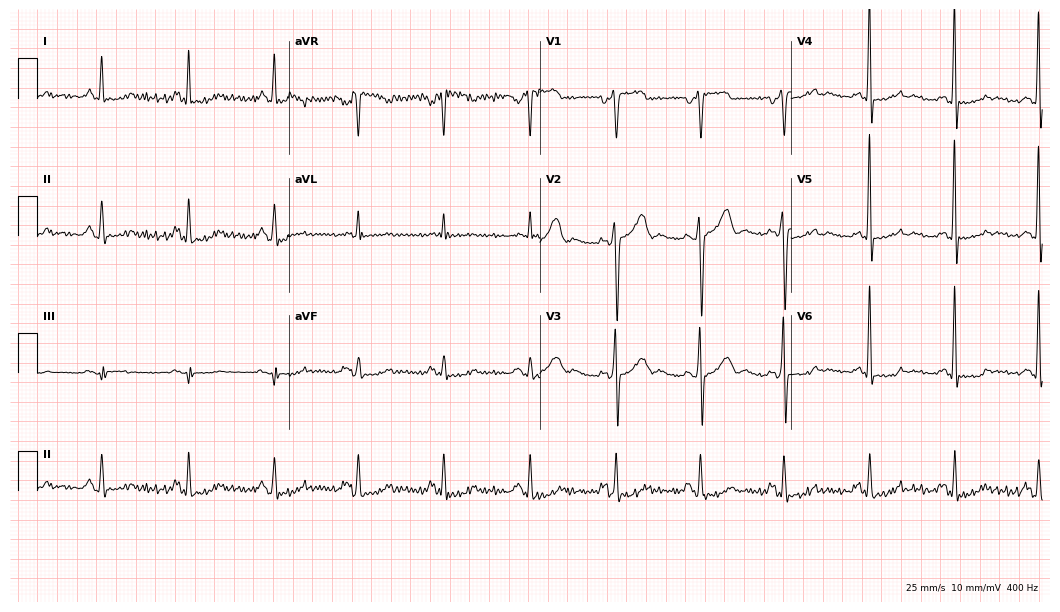
12-lead ECG from a male patient, 44 years old (10.2-second recording at 400 Hz). No first-degree AV block, right bundle branch block (RBBB), left bundle branch block (LBBB), sinus bradycardia, atrial fibrillation (AF) or sinus tachycardia recorded for this tracing. Findings outside these six are not listed.